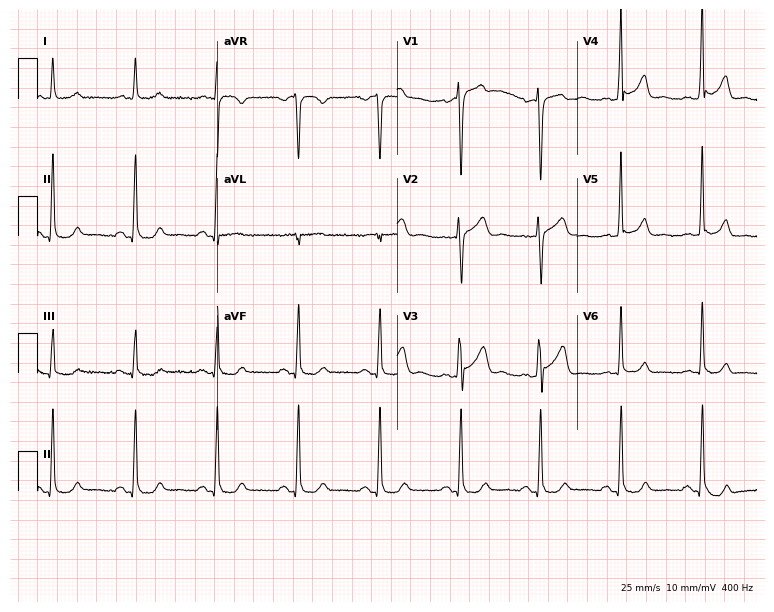
12-lead ECG from a 52-year-old male. No first-degree AV block, right bundle branch block (RBBB), left bundle branch block (LBBB), sinus bradycardia, atrial fibrillation (AF) or sinus tachycardia recorded for this tracing. Only these six findings were labelled.